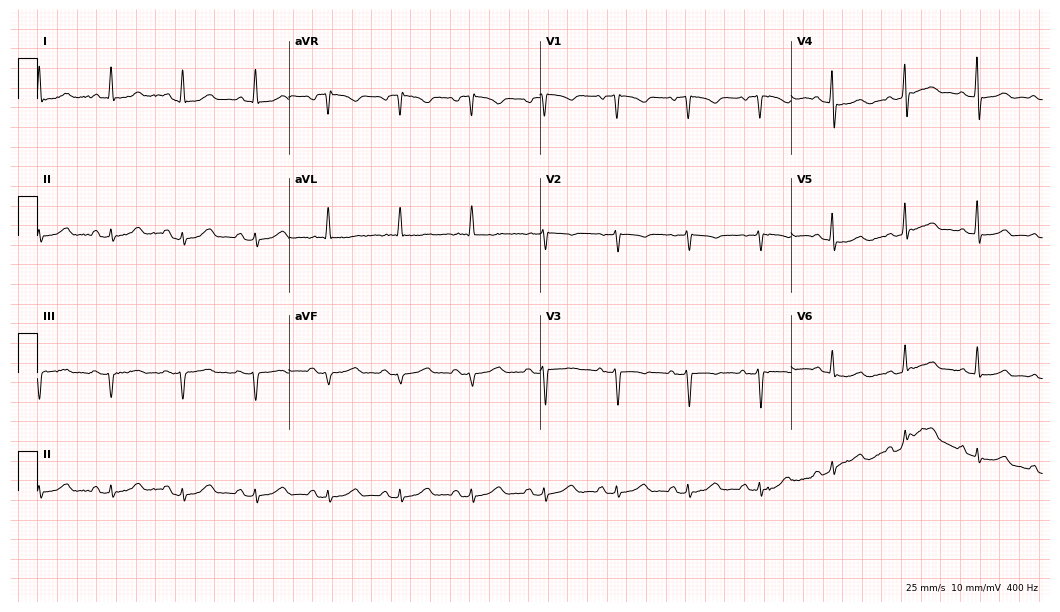
Standard 12-lead ECG recorded from a woman, 68 years old (10.2-second recording at 400 Hz). None of these six findings is recorded: first-degree AV block, right bundle branch block, left bundle branch block, sinus bradycardia, atrial fibrillation, sinus tachycardia.